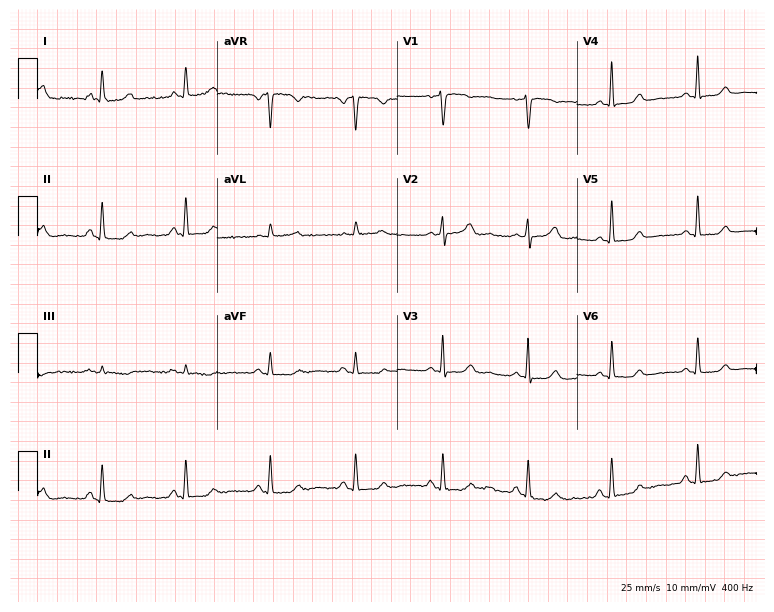
Standard 12-lead ECG recorded from a 58-year-old female (7.3-second recording at 400 Hz). None of these six findings is recorded: first-degree AV block, right bundle branch block (RBBB), left bundle branch block (LBBB), sinus bradycardia, atrial fibrillation (AF), sinus tachycardia. Only these six findings were labelled.